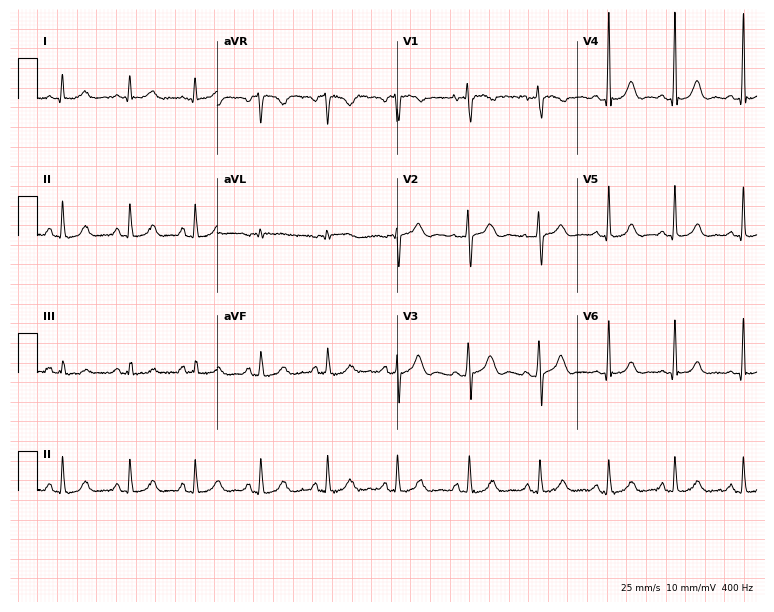
12-lead ECG (7.3-second recording at 400 Hz) from a female patient, 27 years old. Labelled as a normal ECG.